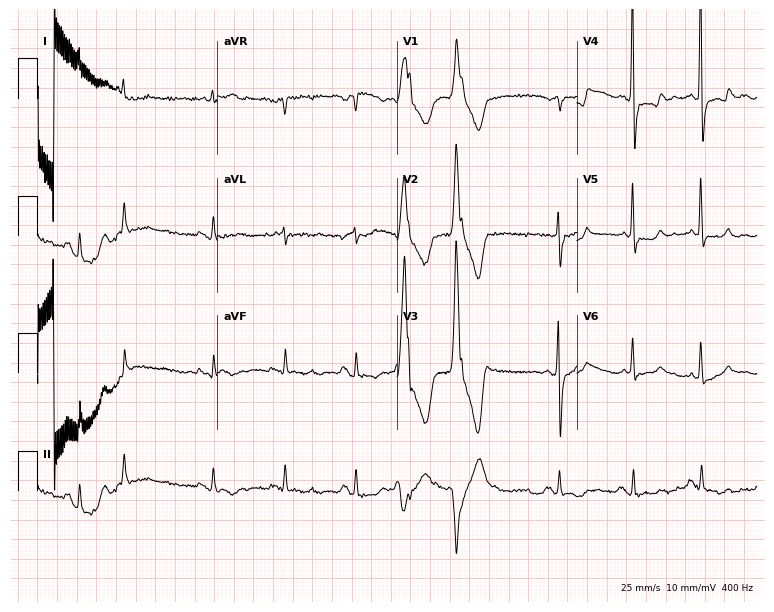
Standard 12-lead ECG recorded from a male, 74 years old. None of these six findings is recorded: first-degree AV block, right bundle branch block (RBBB), left bundle branch block (LBBB), sinus bradycardia, atrial fibrillation (AF), sinus tachycardia. Findings outside these six are not listed.